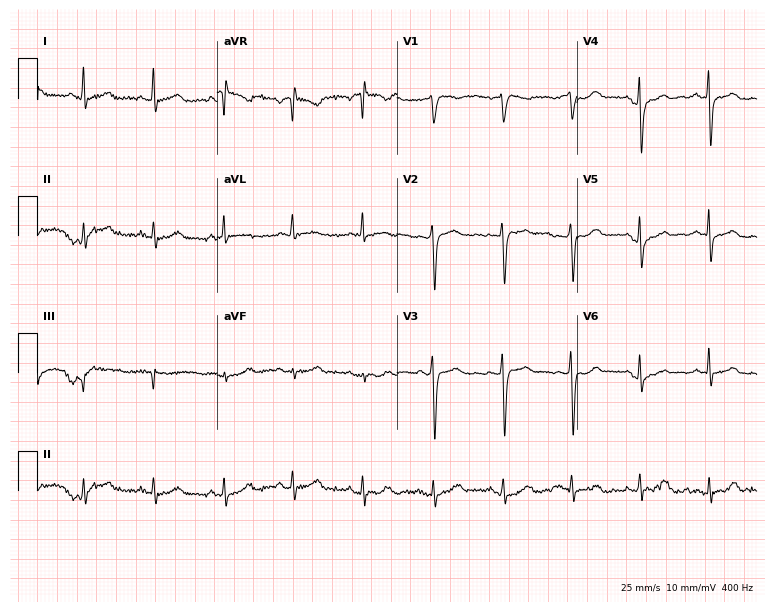
ECG (7.3-second recording at 400 Hz) — a woman, 66 years old. Labelled as a normal ECG.